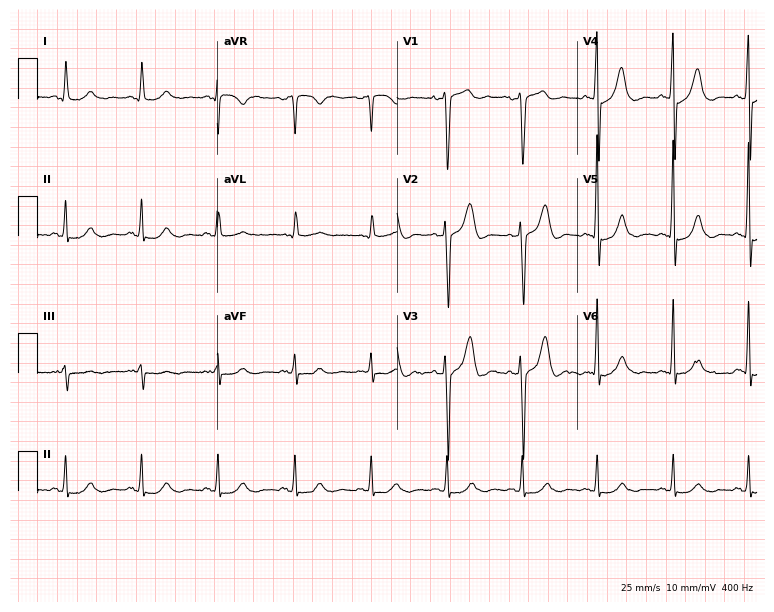
Standard 12-lead ECG recorded from a male, 74 years old. None of these six findings is recorded: first-degree AV block, right bundle branch block (RBBB), left bundle branch block (LBBB), sinus bradycardia, atrial fibrillation (AF), sinus tachycardia.